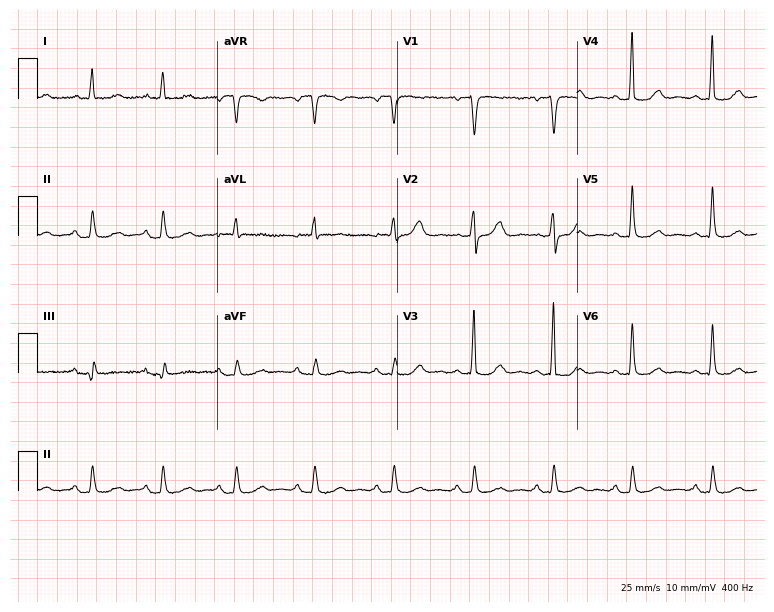
ECG (7.3-second recording at 400 Hz) — a female, 38 years old. Labelled as a normal ECG.